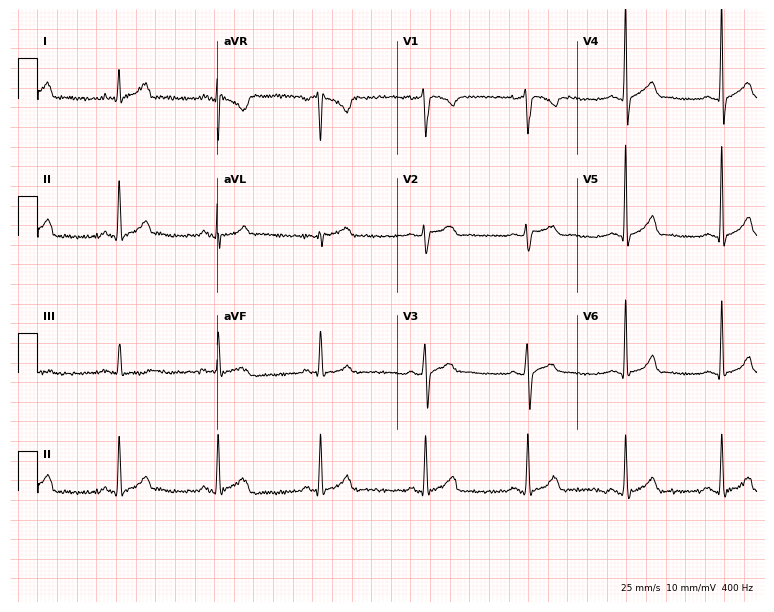
12-lead ECG (7.3-second recording at 400 Hz) from a male, 32 years old. Labelled as a normal ECG.